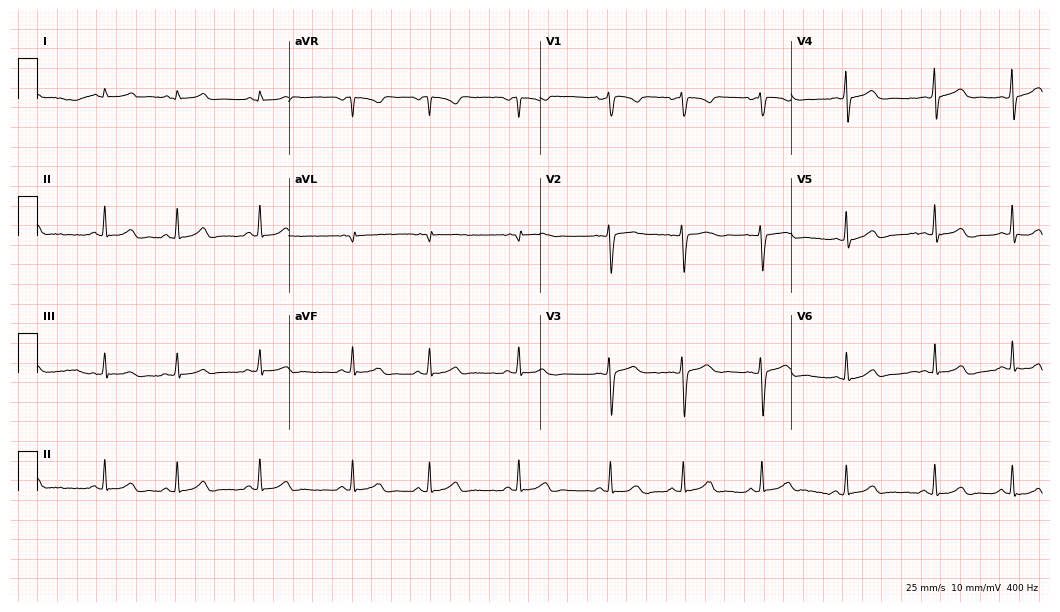
12-lead ECG from a 17-year-old female patient. Screened for six findings — first-degree AV block, right bundle branch block, left bundle branch block, sinus bradycardia, atrial fibrillation, sinus tachycardia — none is recorded. Findings outside these six are not listed.